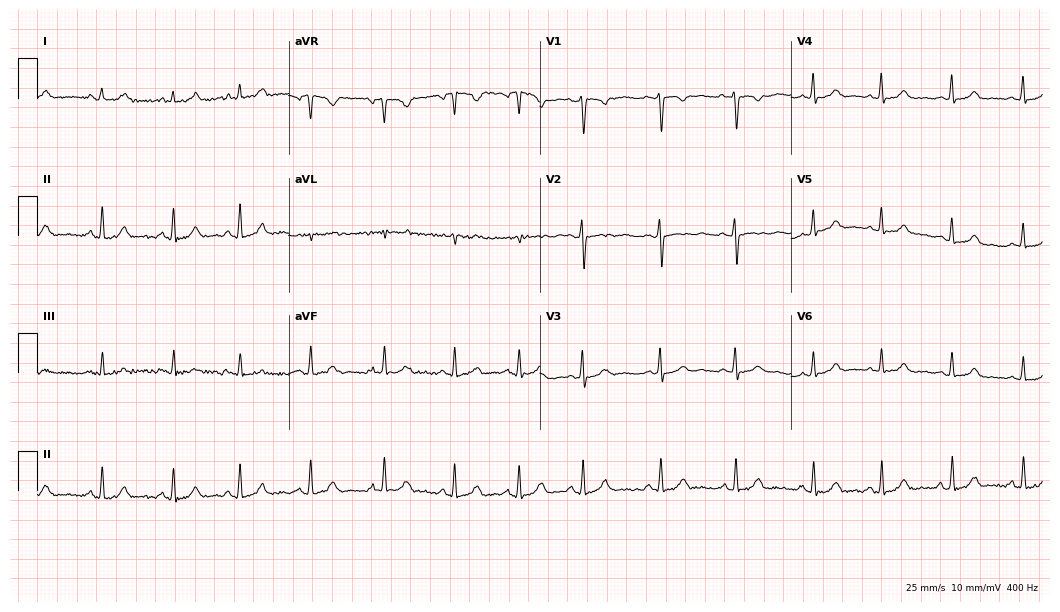
Resting 12-lead electrocardiogram. Patient: a female, 22 years old. Read as a normal ECG.